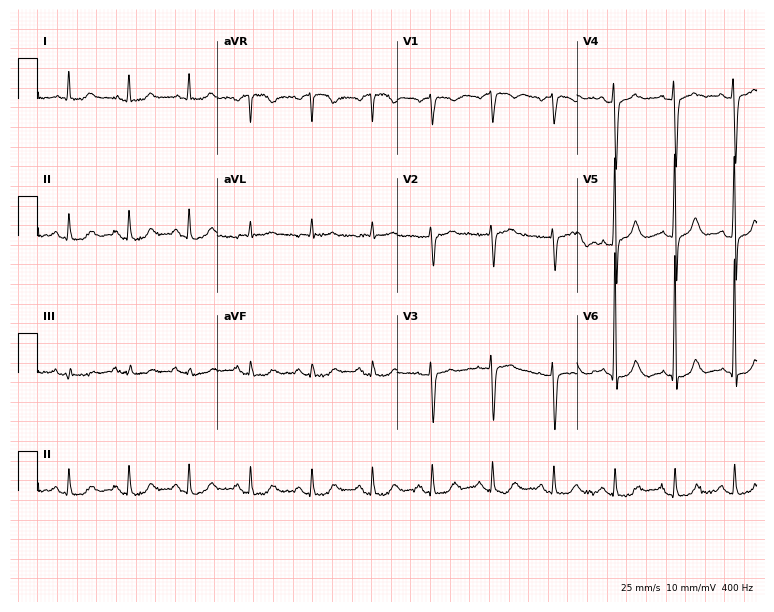
12-lead ECG from a male patient, 83 years old (7.3-second recording at 400 Hz). No first-degree AV block, right bundle branch block (RBBB), left bundle branch block (LBBB), sinus bradycardia, atrial fibrillation (AF) or sinus tachycardia recorded for this tracing.